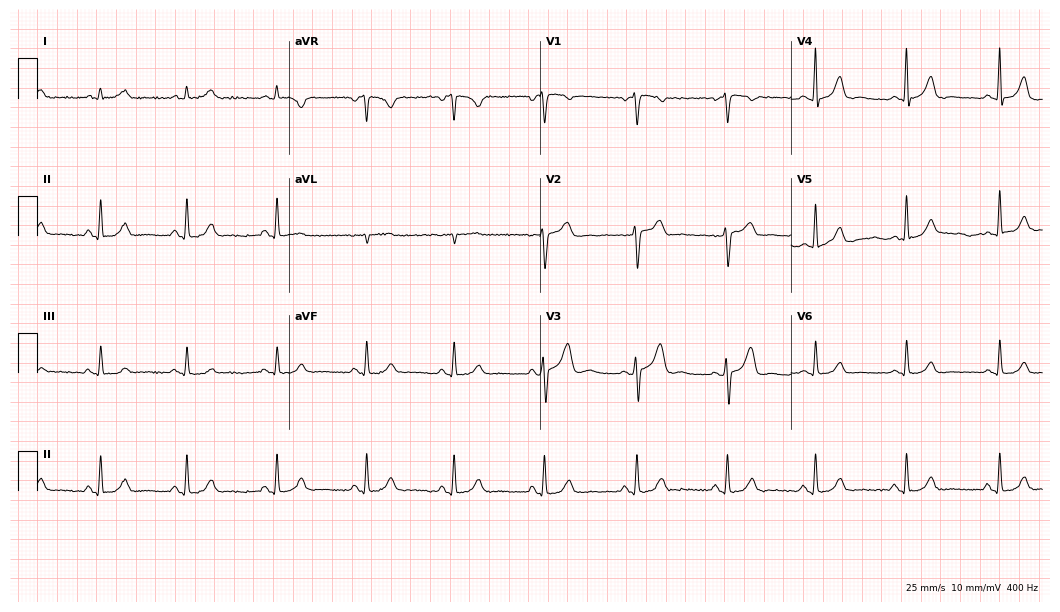
12-lead ECG (10.2-second recording at 400 Hz) from a 44-year-old woman. Labelled as a normal ECG.